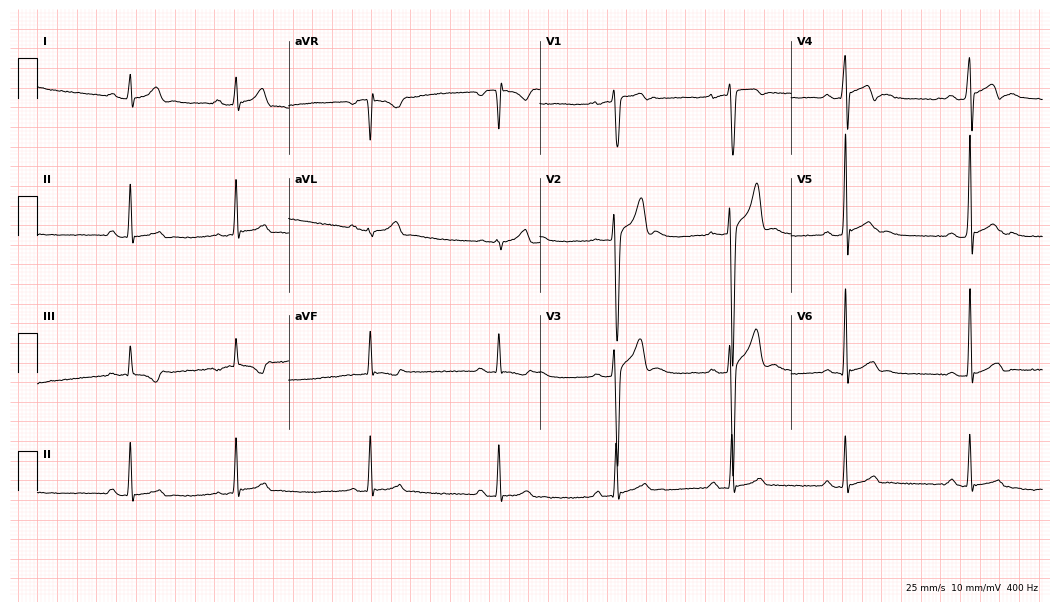
ECG (10.2-second recording at 400 Hz) — a 17-year-old male. Labelled as a normal ECG.